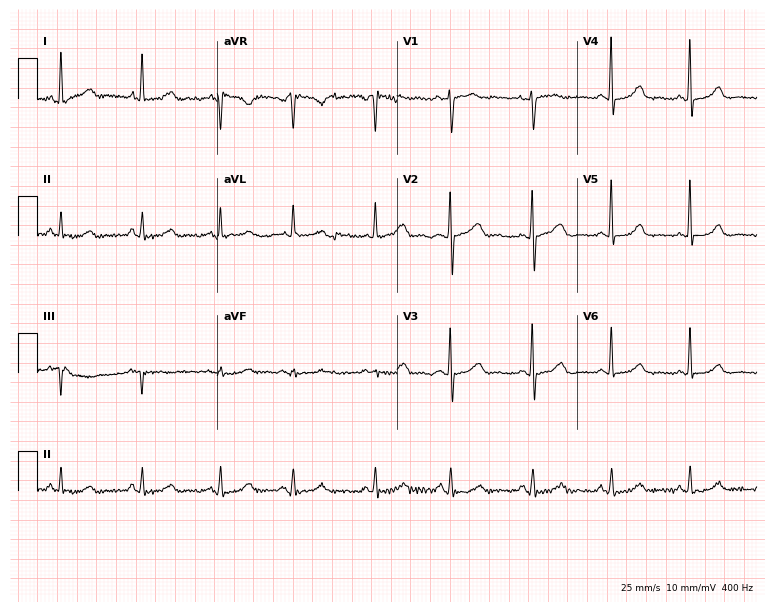
Resting 12-lead electrocardiogram (7.3-second recording at 400 Hz). Patient: a 74-year-old woman. Read as a normal ECG.